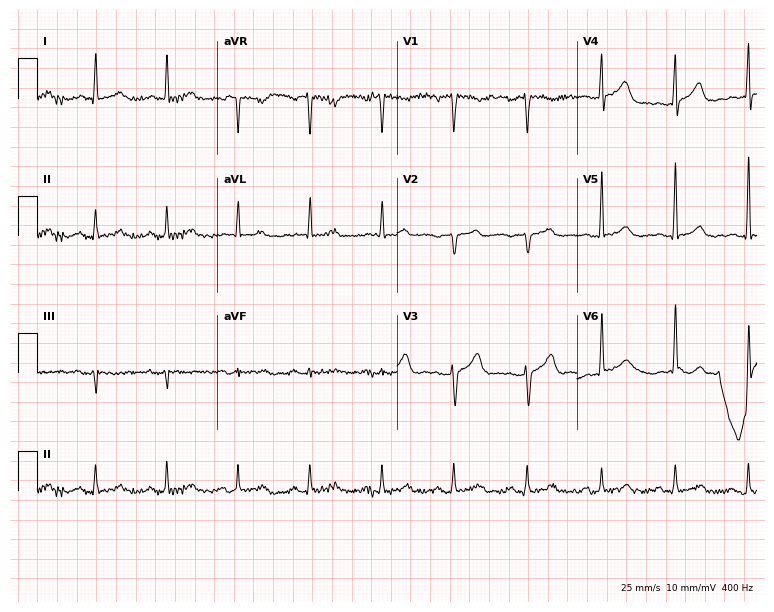
Standard 12-lead ECG recorded from a man, 67 years old (7.3-second recording at 400 Hz). None of these six findings is recorded: first-degree AV block, right bundle branch block, left bundle branch block, sinus bradycardia, atrial fibrillation, sinus tachycardia.